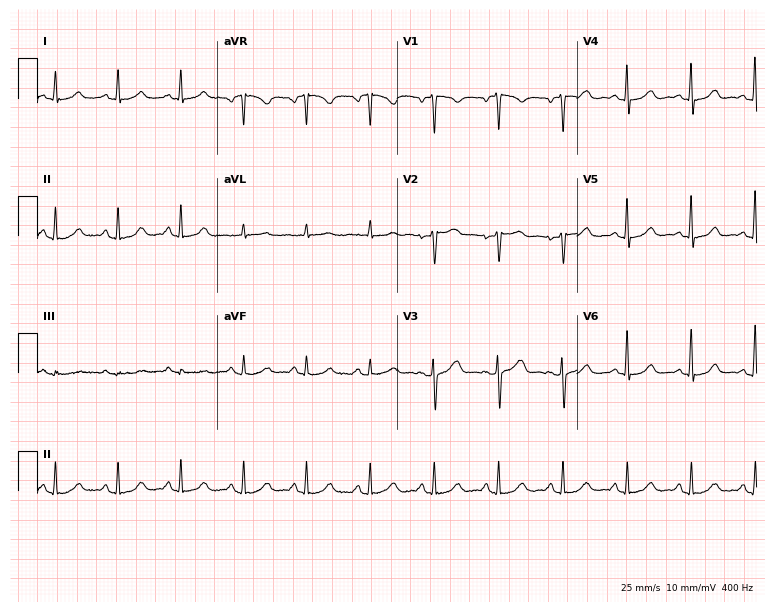
12-lead ECG from a female patient, 42 years old. No first-degree AV block, right bundle branch block, left bundle branch block, sinus bradycardia, atrial fibrillation or sinus tachycardia recorded for this tracing.